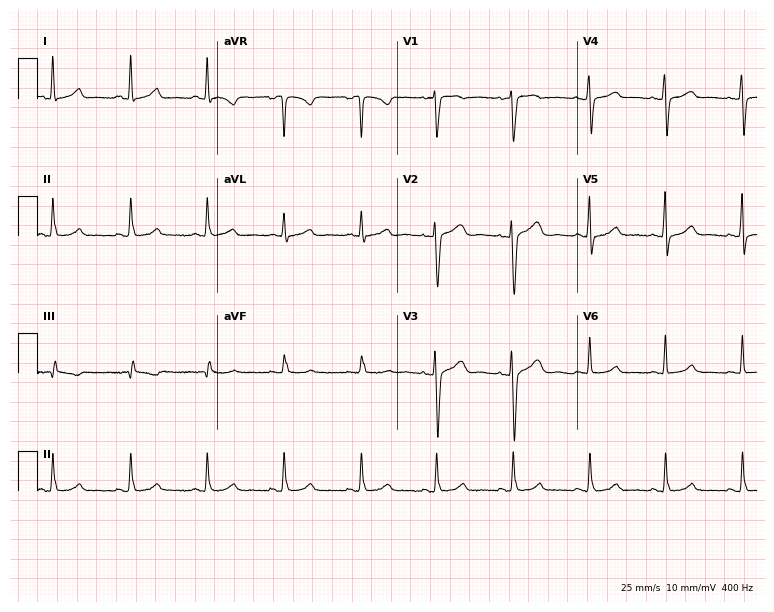
Electrocardiogram (7.3-second recording at 400 Hz), a woman, 38 years old. Of the six screened findings (first-degree AV block, right bundle branch block (RBBB), left bundle branch block (LBBB), sinus bradycardia, atrial fibrillation (AF), sinus tachycardia), none is recorded. Findings outside these six are not listed.